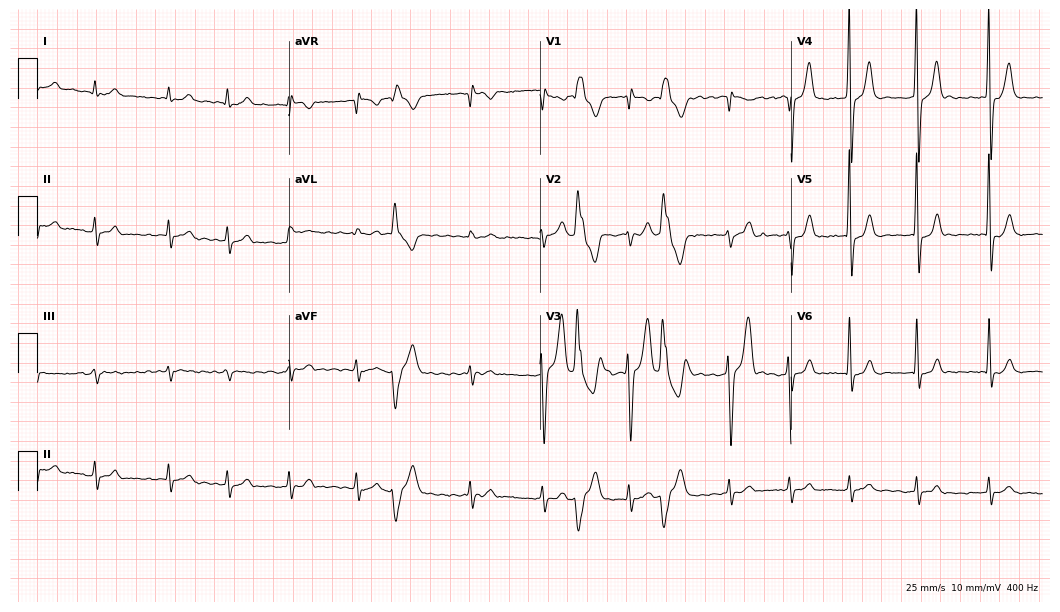
Standard 12-lead ECG recorded from a man, 78 years old. The tracing shows atrial fibrillation.